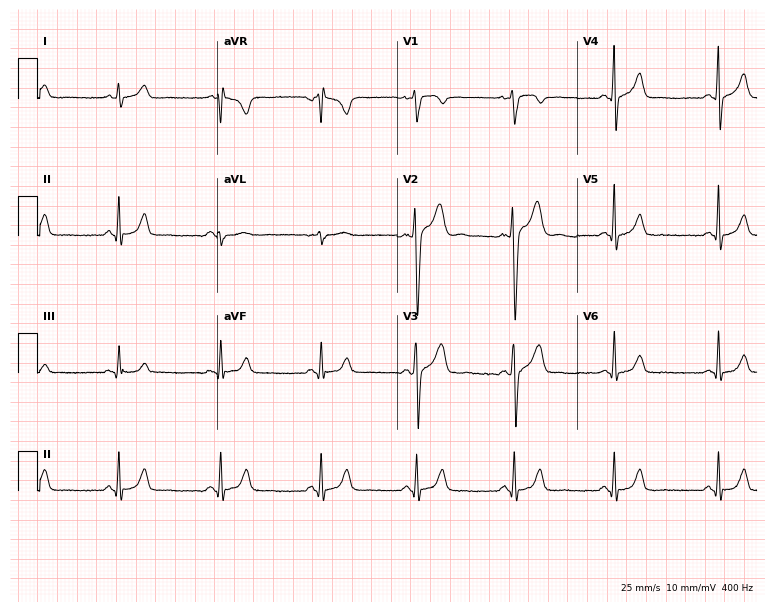
ECG — a male patient, 33 years old. Labelled as a normal ECG.